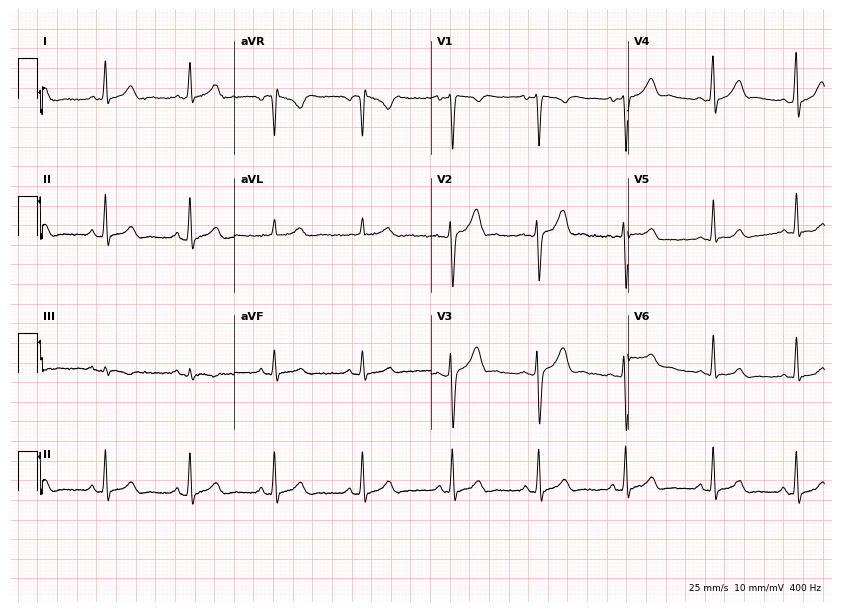
ECG — a 24-year-old male. Labelled as a normal ECG.